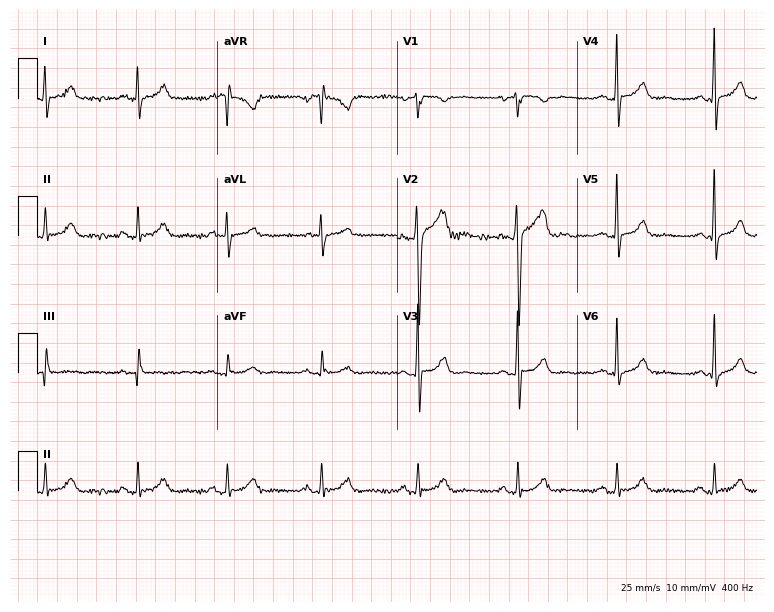
Resting 12-lead electrocardiogram. Patient: a male, 45 years old. Read as a normal ECG.